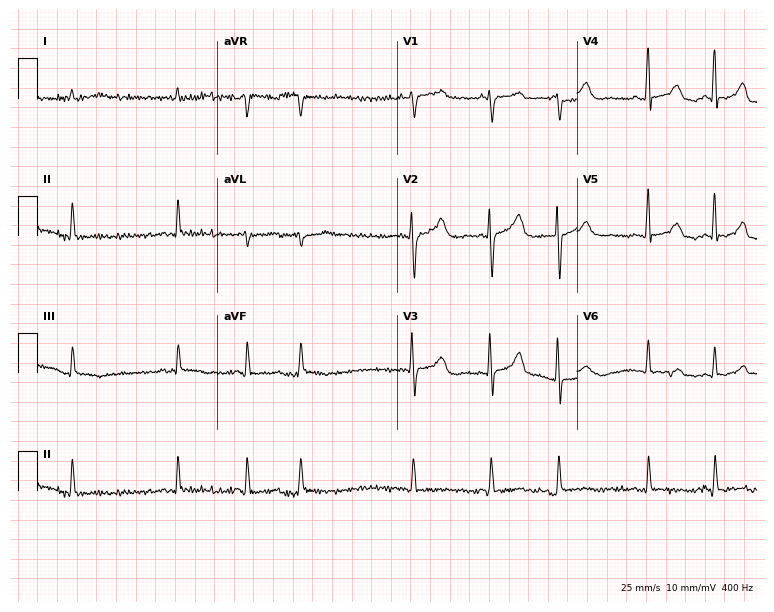
12-lead ECG from a male patient, 76 years old (7.3-second recording at 400 Hz). No first-degree AV block, right bundle branch block, left bundle branch block, sinus bradycardia, atrial fibrillation or sinus tachycardia recorded for this tracing. Other findings, if any, are not listed.